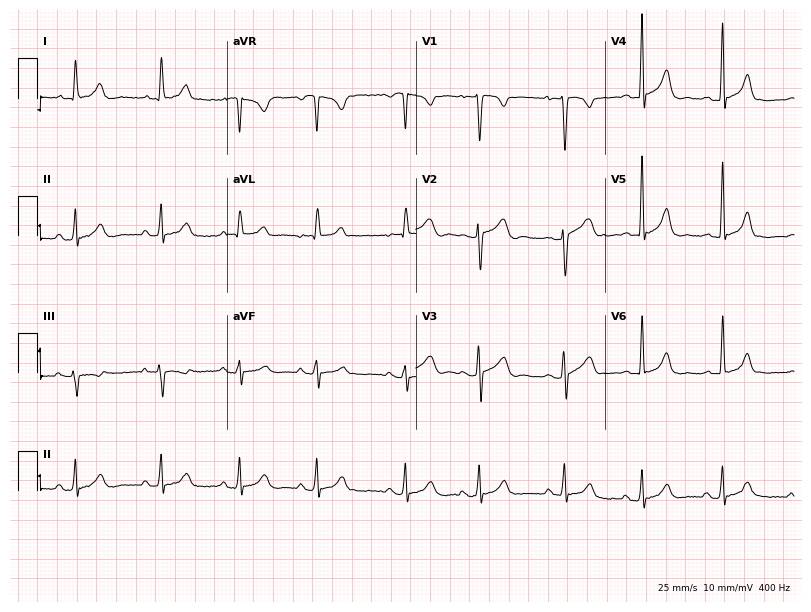
Resting 12-lead electrocardiogram (7.7-second recording at 400 Hz). Patient: a 34-year-old female. Read as a normal ECG.